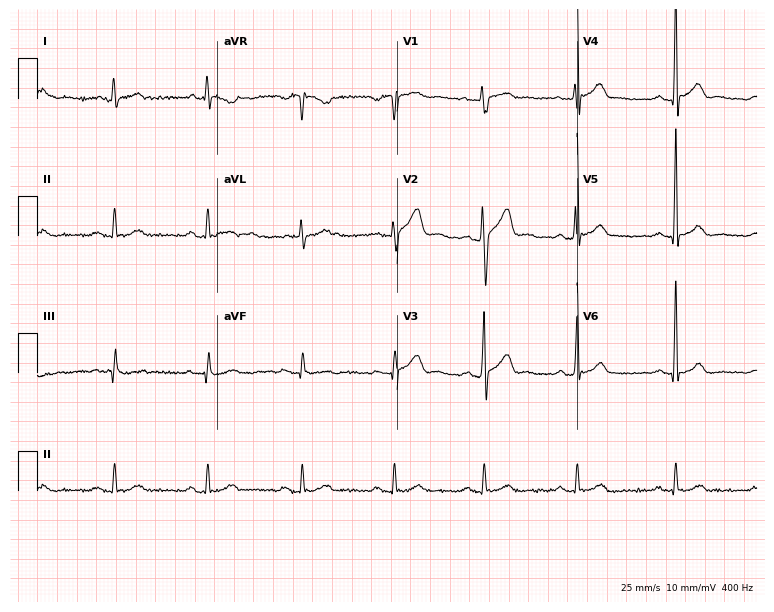
Electrocardiogram (7.3-second recording at 400 Hz), a male patient, 41 years old. Overall reading on record: normal ECG.